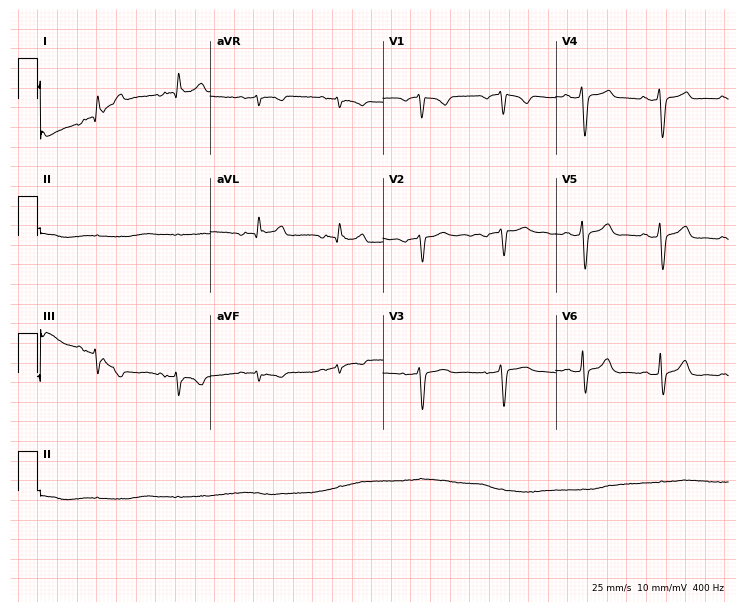
Electrocardiogram (7-second recording at 400 Hz), a 45-year-old male. Of the six screened findings (first-degree AV block, right bundle branch block, left bundle branch block, sinus bradycardia, atrial fibrillation, sinus tachycardia), none is recorded. Other findings, if any, are not listed.